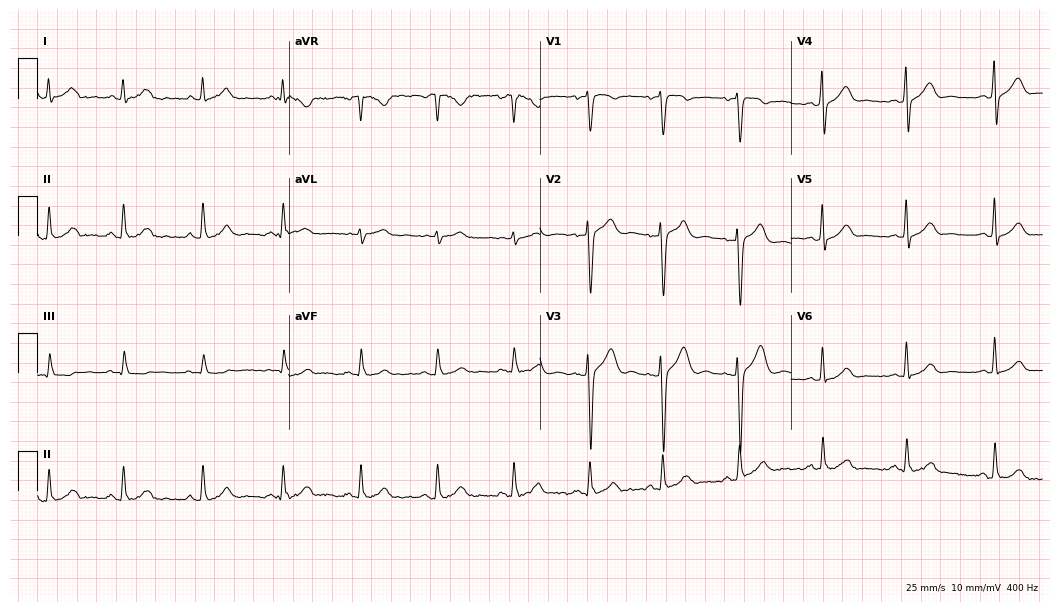
12-lead ECG (10.2-second recording at 400 Hz) from a man, 43 years old. Labelled as a normal ECG.